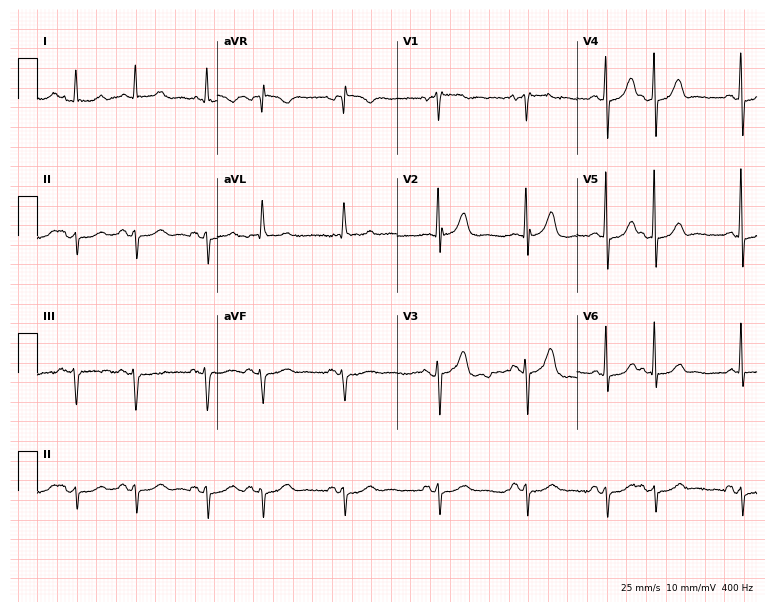
Resting 12-lead electrocardiogram. Patient: a 77-year-old female. None of these six findings is recorded: first-degree AV block, right bundle branch block, left bundle branch block, sinus bradycardia, atrial fibrillation, sinus tachycardia. Findings outside these six are not listed.